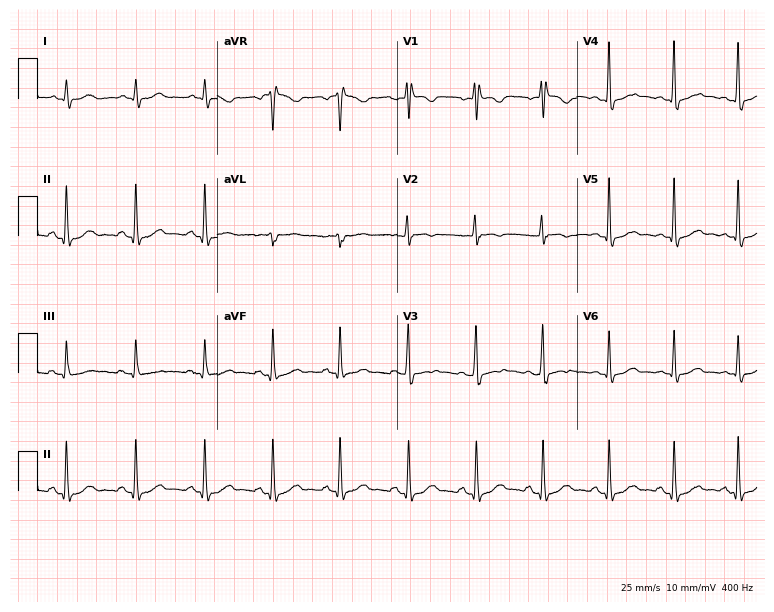
Standard 12-lead ECG recorded from a male, 22 years old. None of these six findings is recorded: first-degree AV block, right bundle branch block, left bundle branch block, sinus bradycardia, atrial fibrillation, sinus tachycardia.